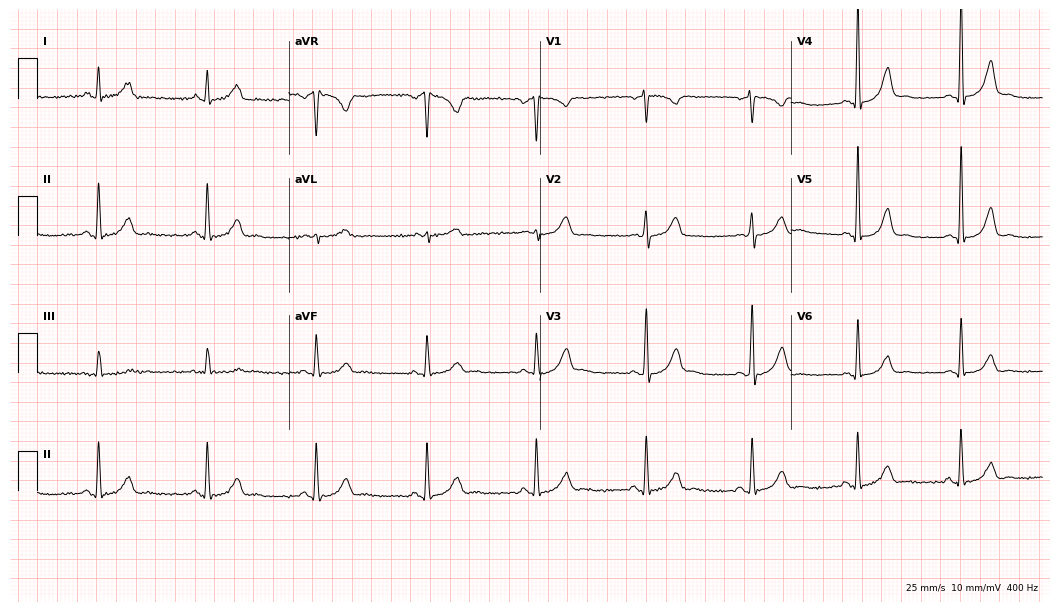
ECG (10.2-second recording at 400 Hz) — a 43-year-old female. Labelled as a normal ECG.